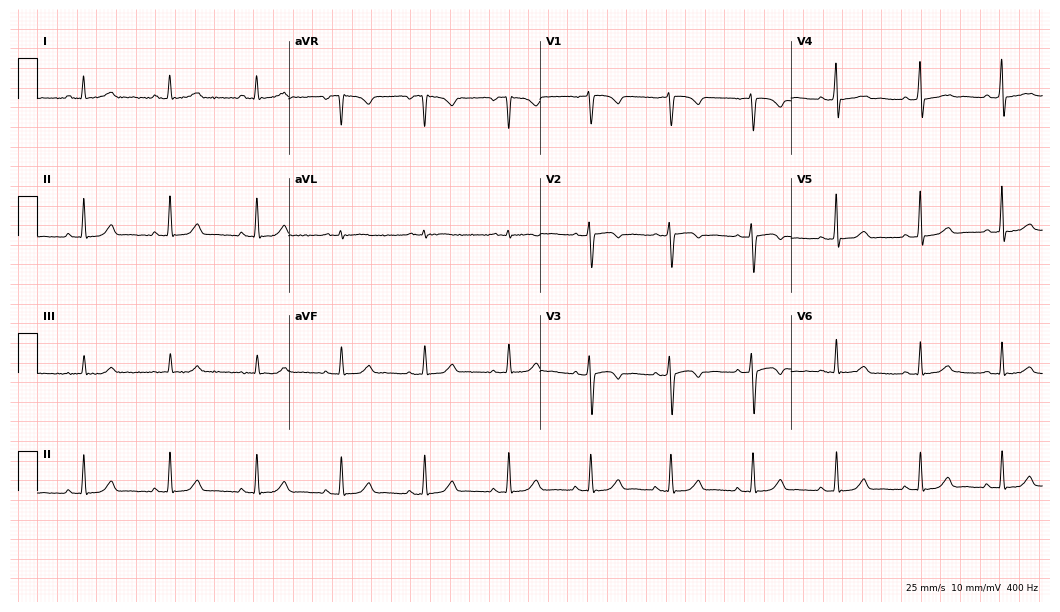
Resting 12-lead electrocardiogram. Patient: a female, 53 years old. None of these six findings is recorded: first-degree AV block, right bundle branch block, left bundle branch block, sinus bradycardia, atrial fibrillation, sinus tachycardia.